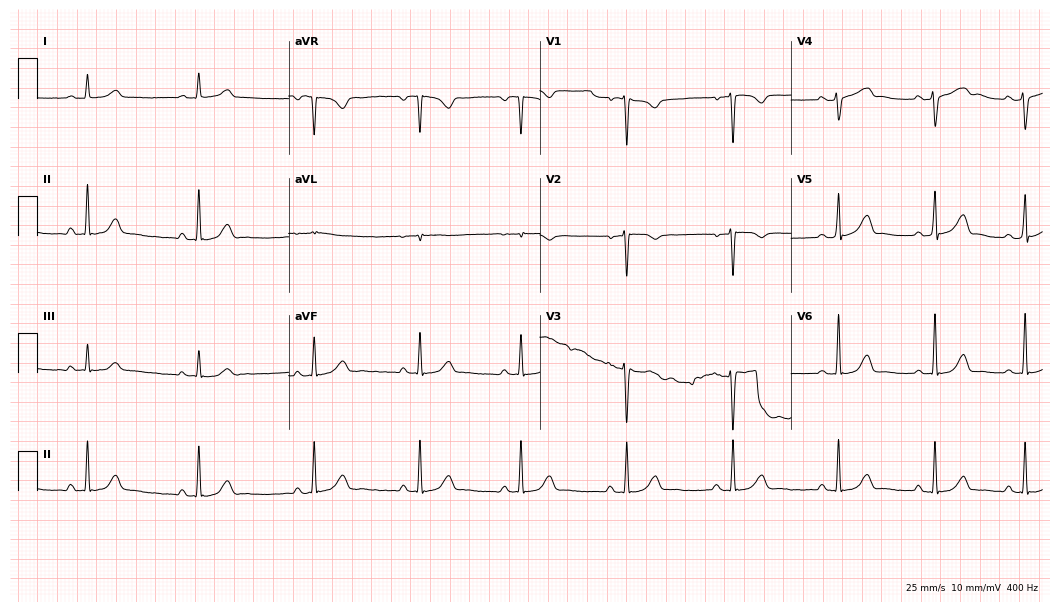
12-lead ECG from a 37-year-old woman. Recorded interpretation: within normal limits.